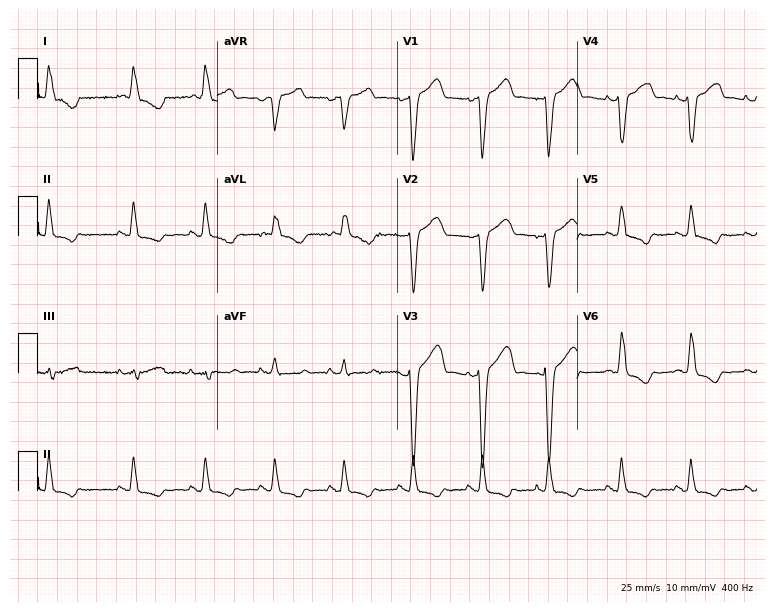
12-lead ECG (7.3-second recording at 400 Hz) from a 75-year-old woman. Screened for six findings — first-degree AV block, right bundle branch block, left bundle branch block, sinus bradycardia, atrial fibrillation, sinus tachycardia — none is recorded. Findings outside these six are not listed.